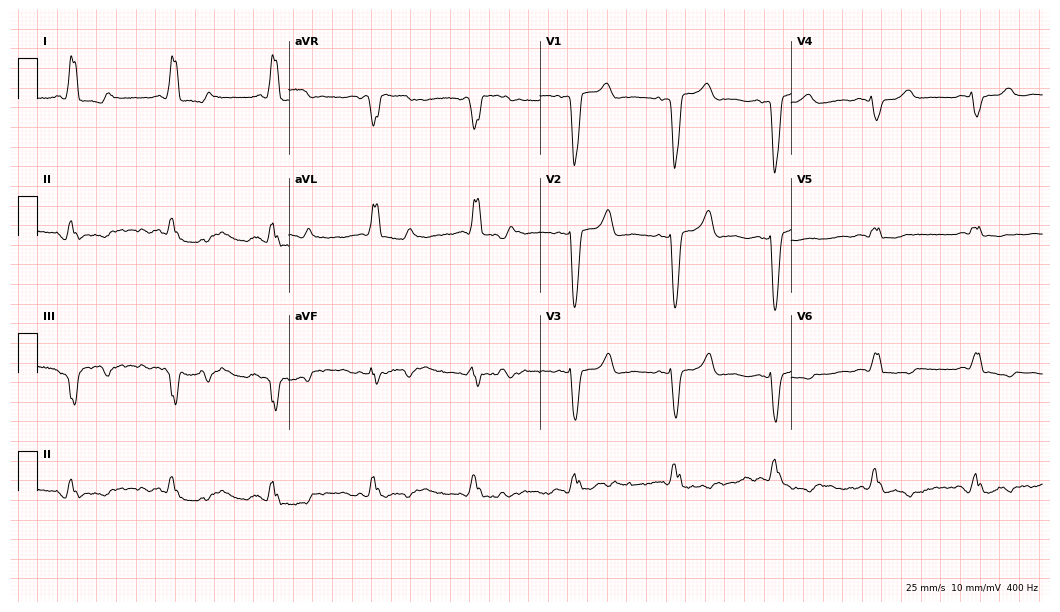
12-lead ECG from a woman, 72 years old (10.2-second recording at 400 Hz). Shows left bundle branch block.